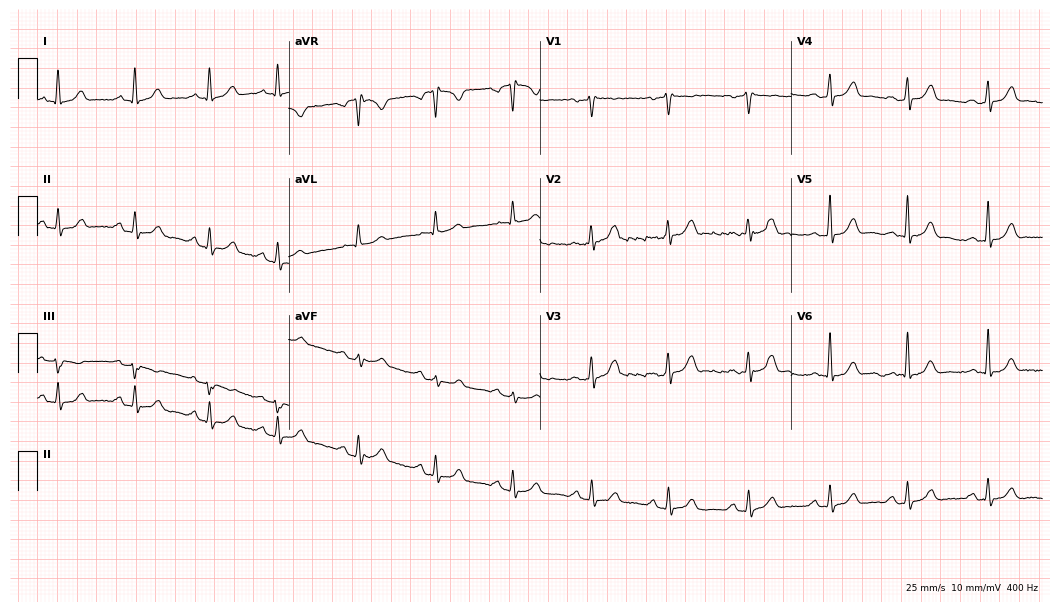
12-lead ECG (10.2-second recording at 400 Hz) from a 43-year-old female. Labelled as a normal ECG.